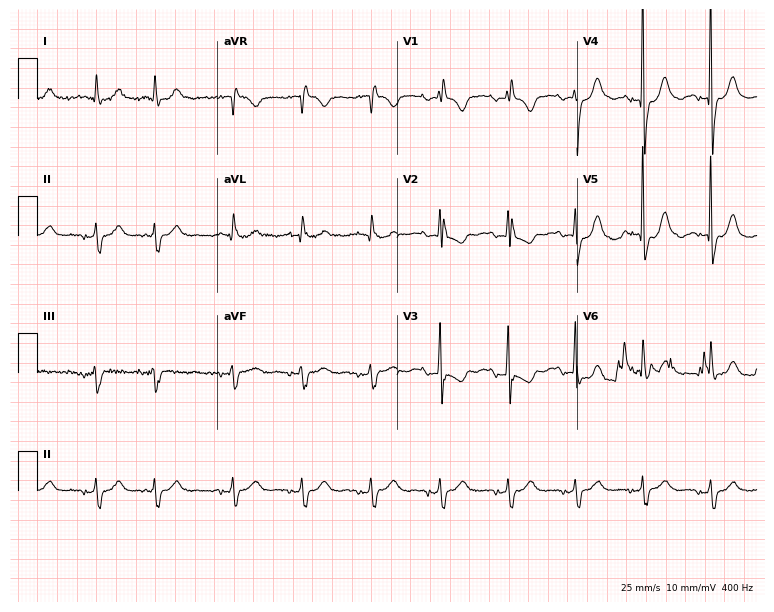
Standard 12-lead ECG recorded from a female, 85 years old. The tracing shows atrial fibrillation.